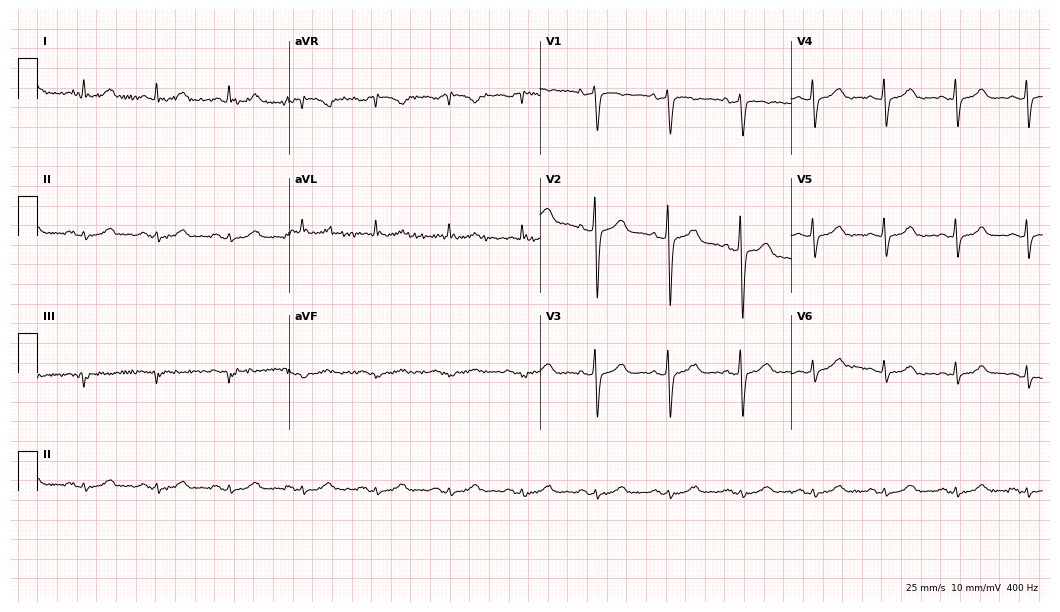
Electrocardiogram (10.2-second recording at 400 Hz), a woman, 80 years old. Overall reading on record: normal ECG.